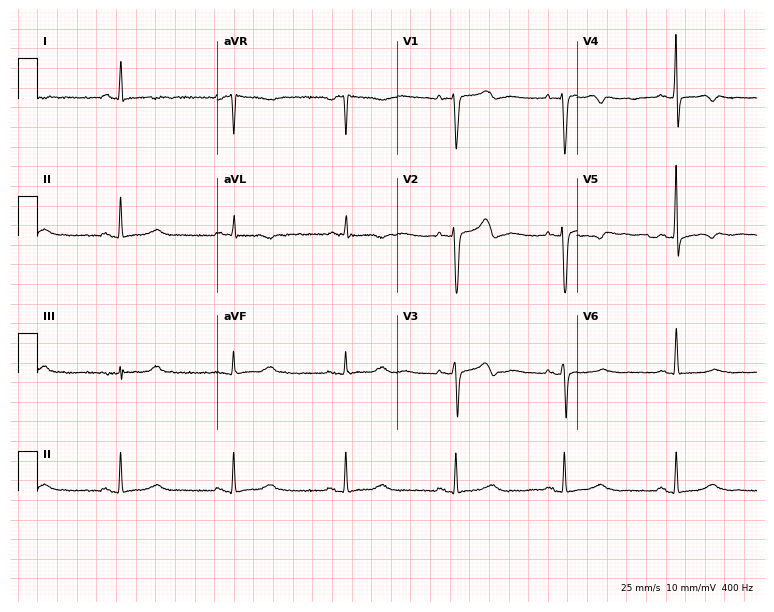
Standard 12-lead ECG recorded from a female patient, 56 years old. None of these six findings is recorded: first-degree AV block, right bundle branch block, left bundle branch block, sinus bradycardia, atrial fibrillation, sinus tachycardia. Findings outside these six are not listed.